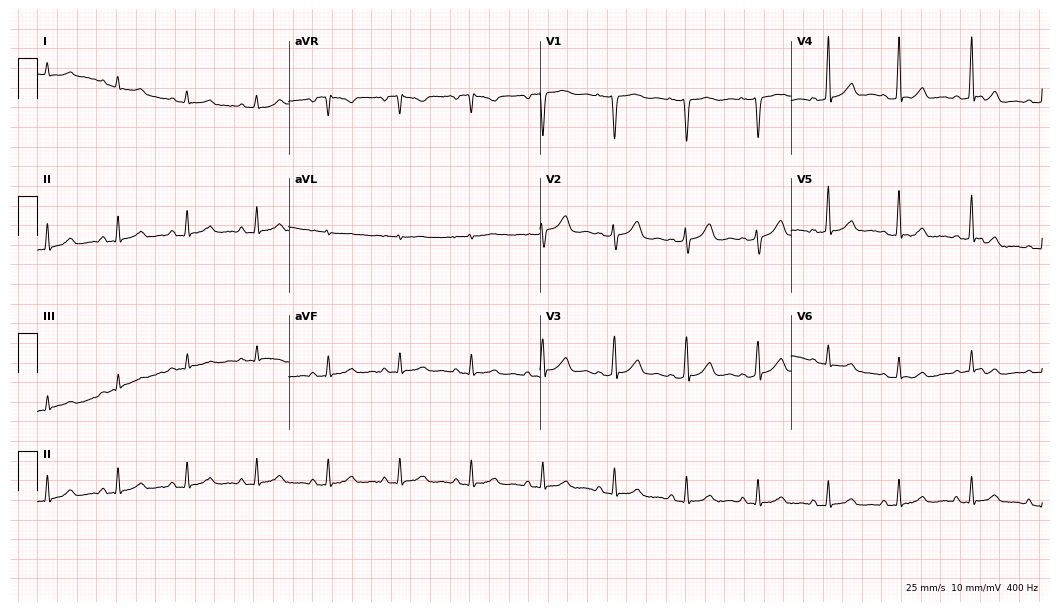
12-lead ECG from a 38-year-old female. Labelled as a normal ECG.